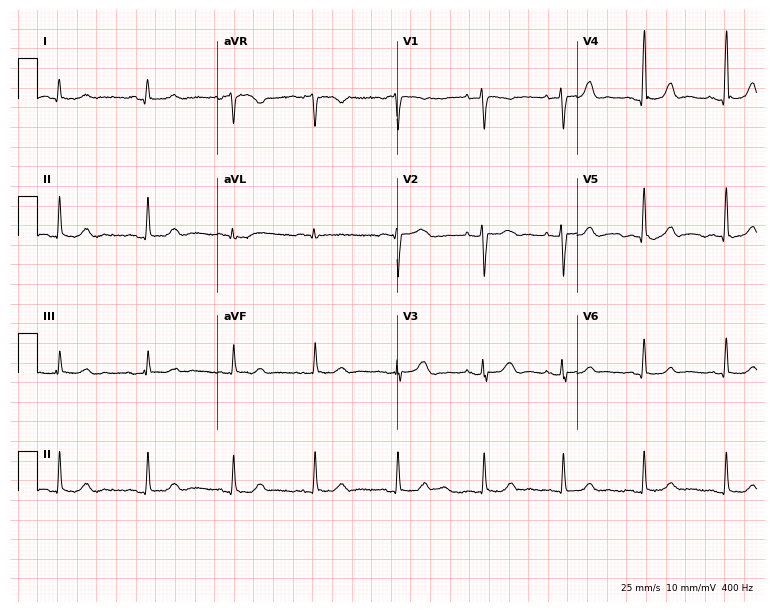
Standard 12-lead ECG recorded from a 53-year-old woman (7.3-second recording at 400 Hz). Read as a normal ECG.